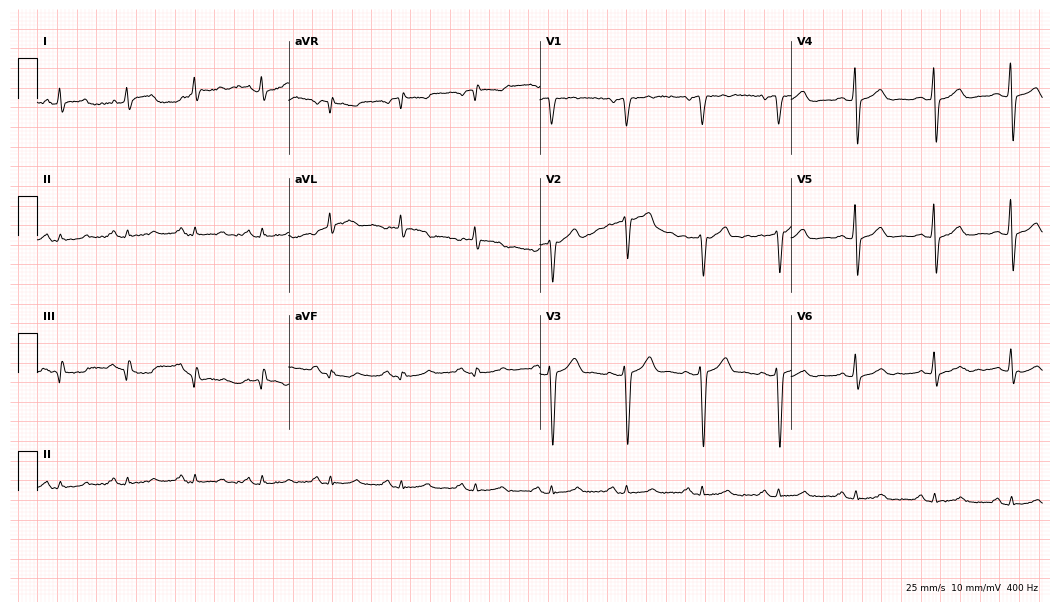
Resting 12-lead electrocardiogram. Patient: a 51-year-old male. Read as a normal ECG.